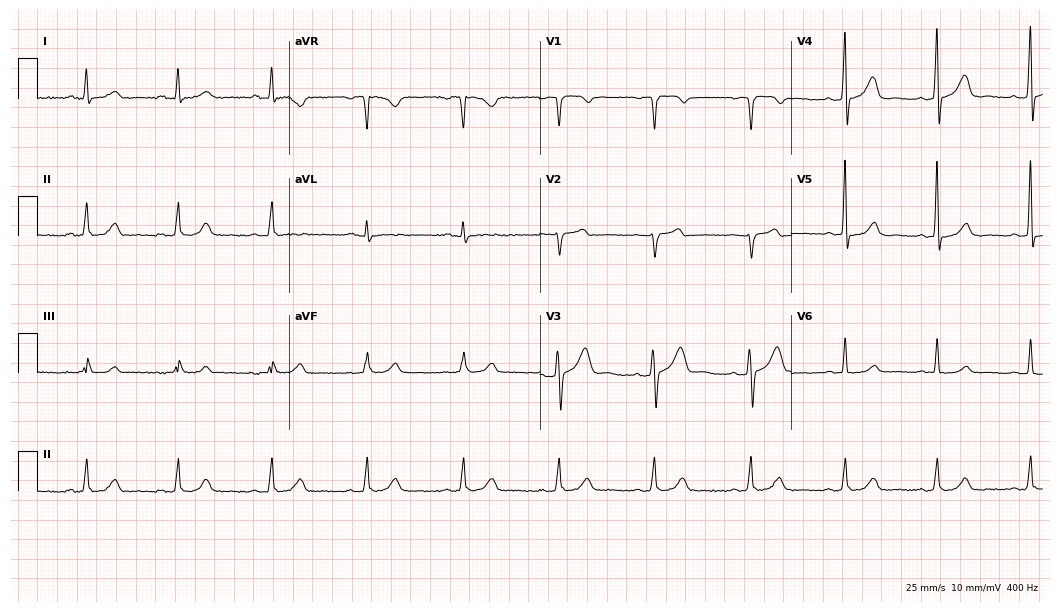
ECG — a 49-year-old female patient. Screened for six findings — first-degree AV block, right bundle branch block, left bundle branch block, sinus bradycardia, atrial fibrillation, sinus tachycardia — none is recorded.